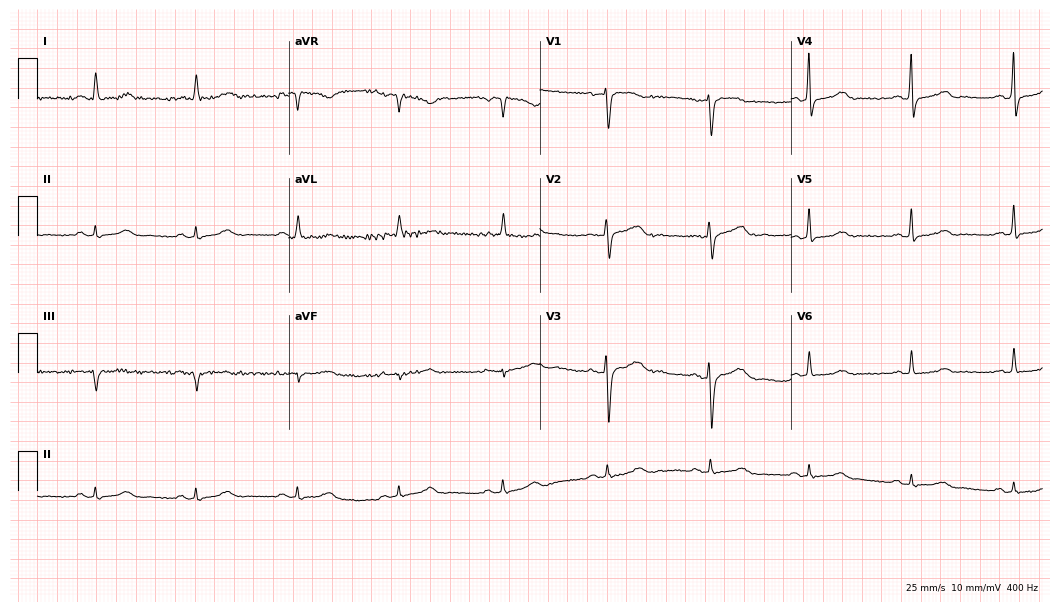
12-lead ECG from a female, 75 years old (10.2-second recording at 400 Hz). Recorded interpretation: within normal limits.